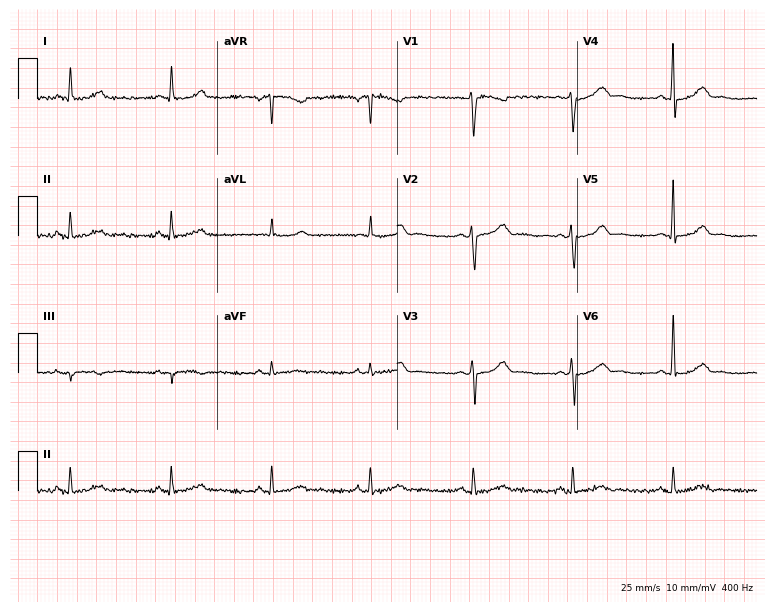
12-lead ECG (7.3-second recording at 400 Hz) from a 43-year-old woman. Labelled as a normal ECG.